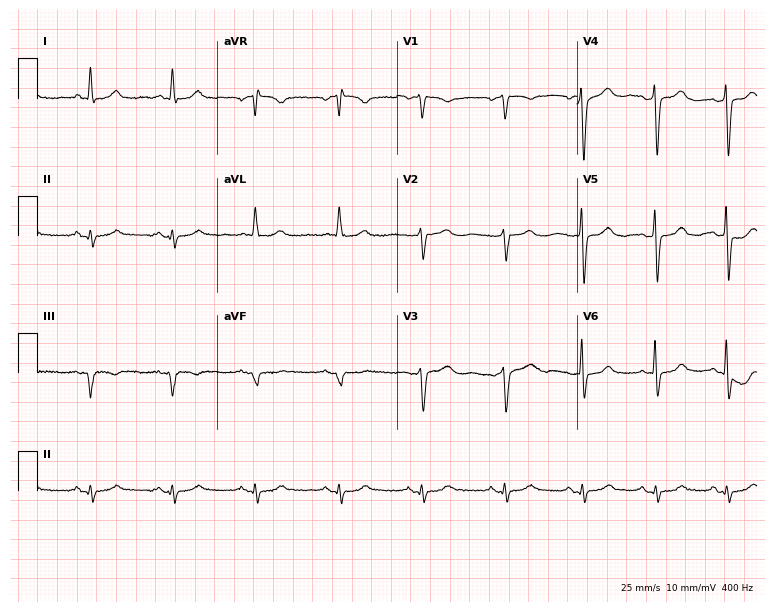
12-lead ECG from a 64-year-old man (7.3-second recording at 400 Hz). No first-degree AV block, right bundle branch block, left bundle branch block, sinus bradycardia, atrial fibrillation or sinus tachycardia recorded for this tracing.